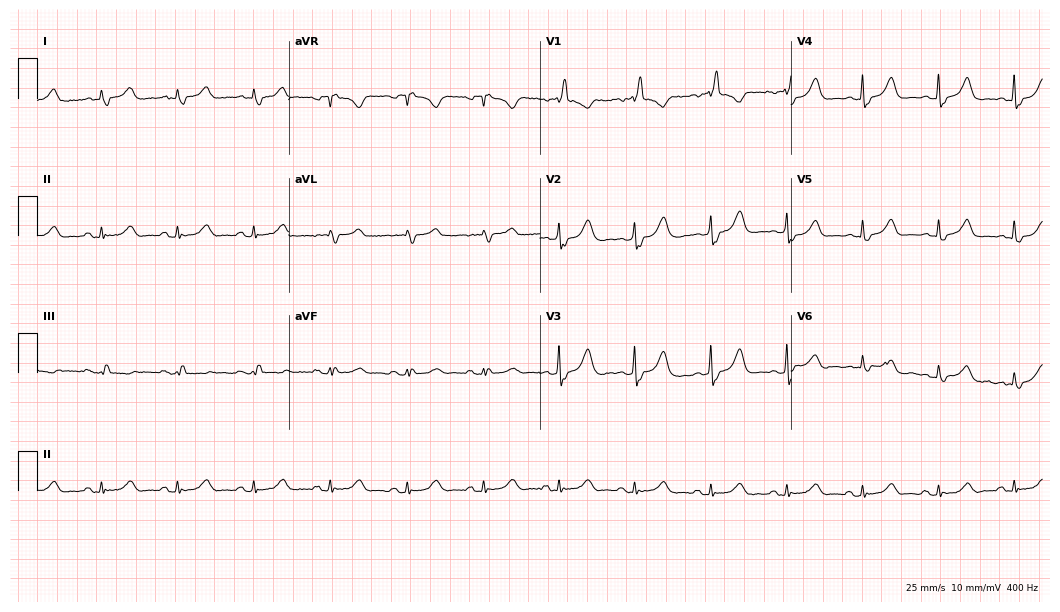
Standard 12-lead ECG recorded from a 69-year-old female (10.2-second recording at 400 Hz). None of these six findings is recorded: first-degree AV block, right bundle branch block (RBBB), left bundle branch block (LBBB), sinus bradycardia, atrial fibrillation (AF), sinus tachycardia. Only these six findings were labelled.